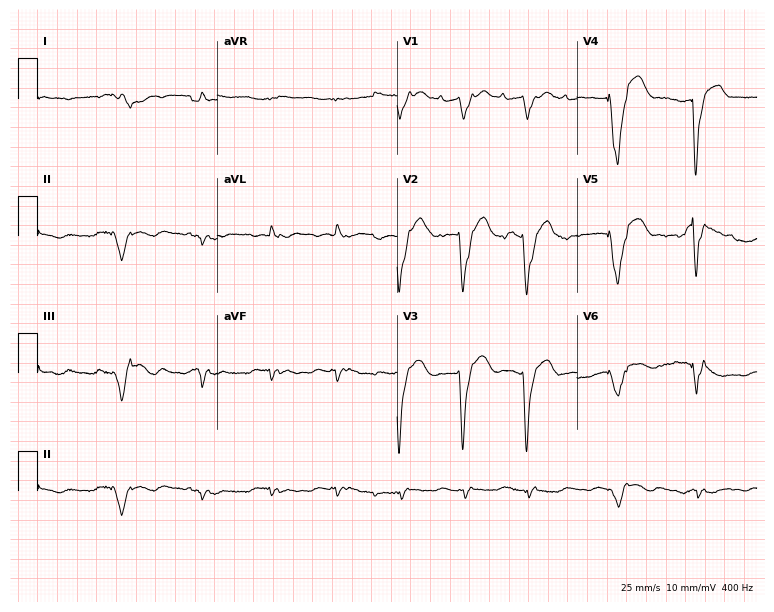
Electrocardiogram, a 78-year-old man. Of the six screened findings (first-degree AV block, right bundle branch block (RBBB), left bundle branch block (LBBB), sinus bradycardia, atrial fibrillation (AF), sinus tachycardia), none is recorded.